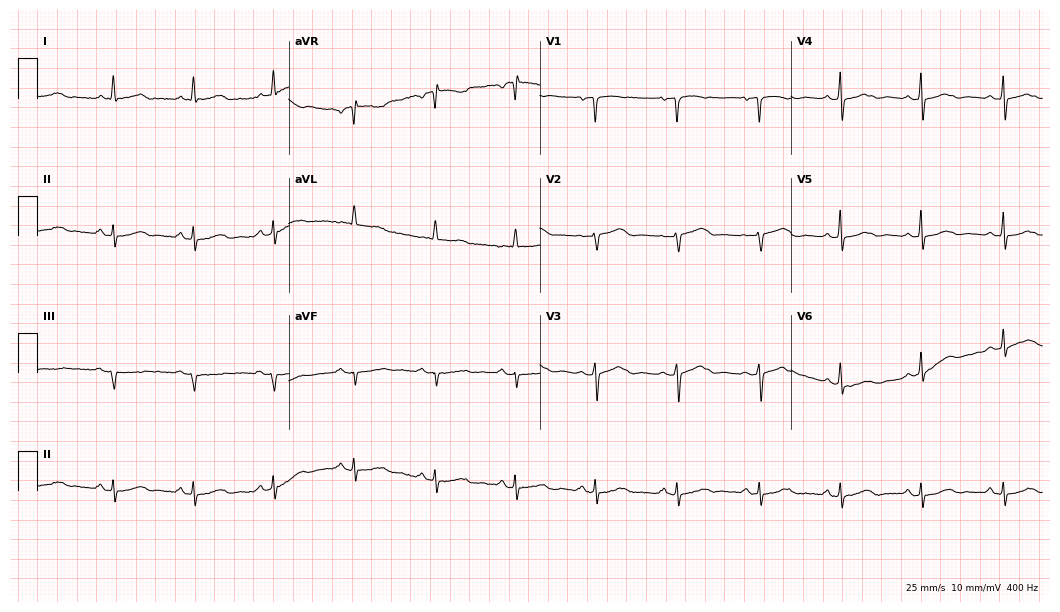
12-lead ECG from an 81-year-old female patient. Labelled as a normal ECG.